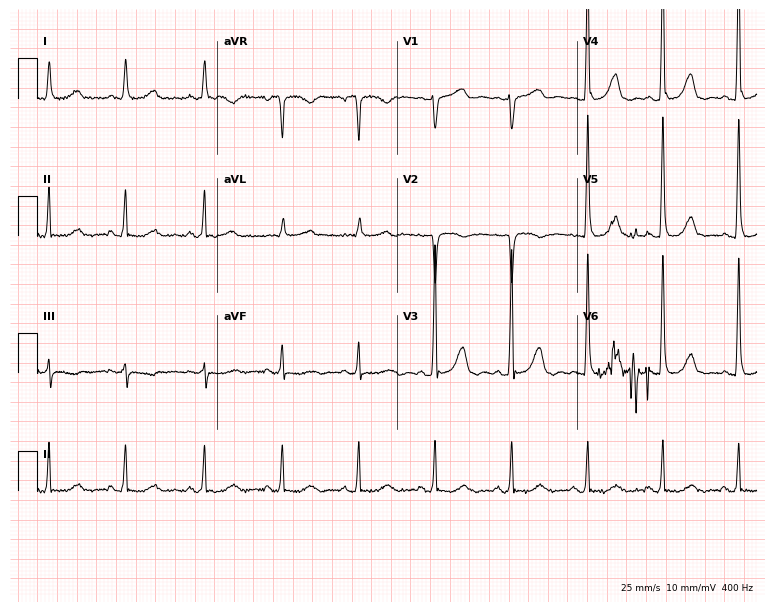
Resting 12-lead electrocardiogram. Patient: a female, 72 years old. None of these six findings is recorded: first-degree AV block, right bundle branch block, left bundle branch block, sinus bradycardia, atrial fibrillation, sinus tachycardia.